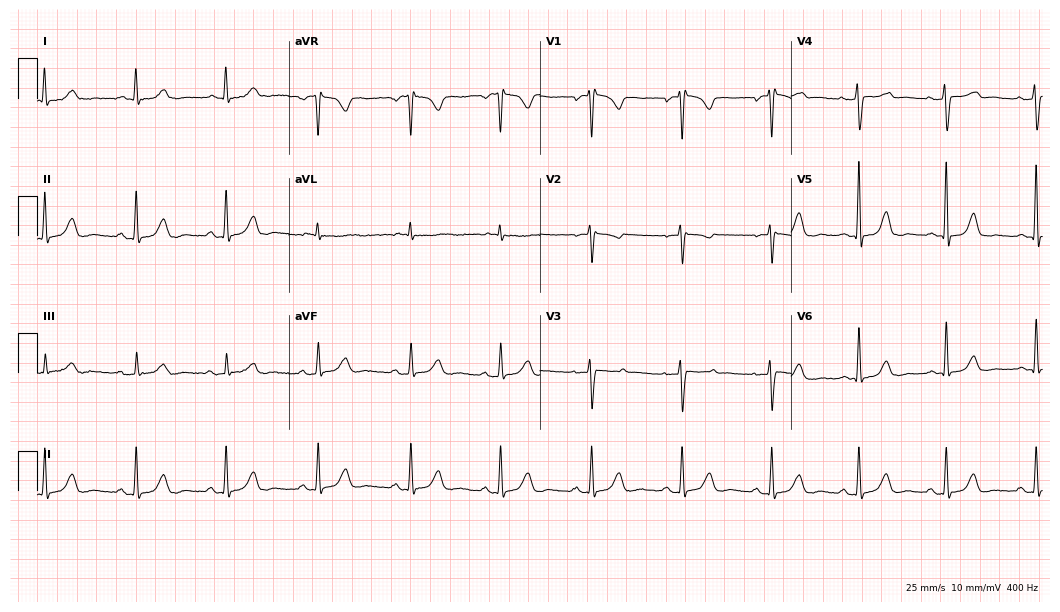
12-lead ECG (10.2-second recording at 400 Hz) from a 70-year-old woman. Screened for six findings — first-degree AV block, right bundle branch block, left bundle branch block, sinus bradycardia, atrial fibrillation, sinus tachycardia — none is recorded. Other findings, if any, are not listed.